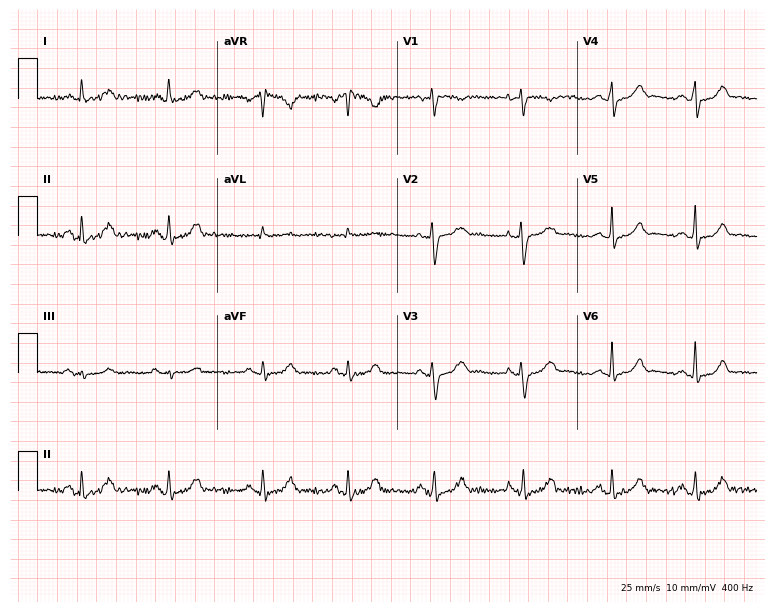
12-lead ECG from a woman, 34 years old. Recorded interpretation: within normal limits.